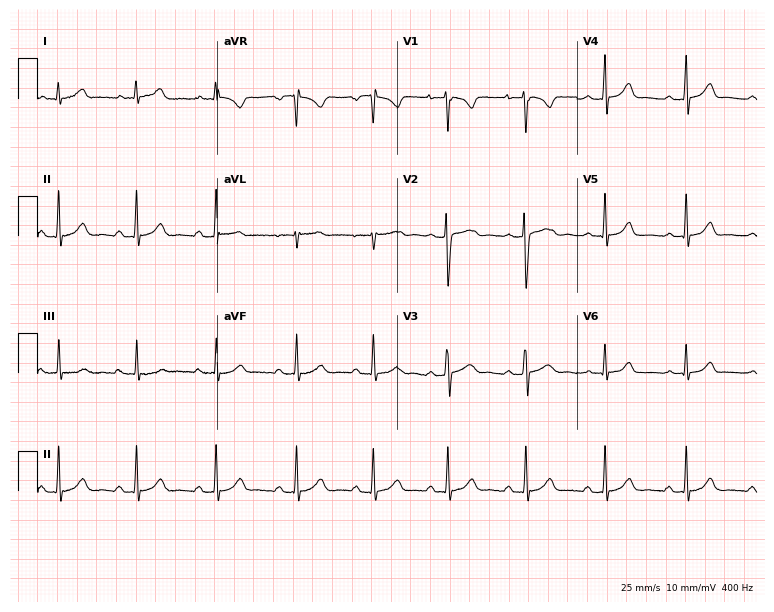
12-lead ECG from a woman, 21 years old. Recorded interpretation: within normal limits.